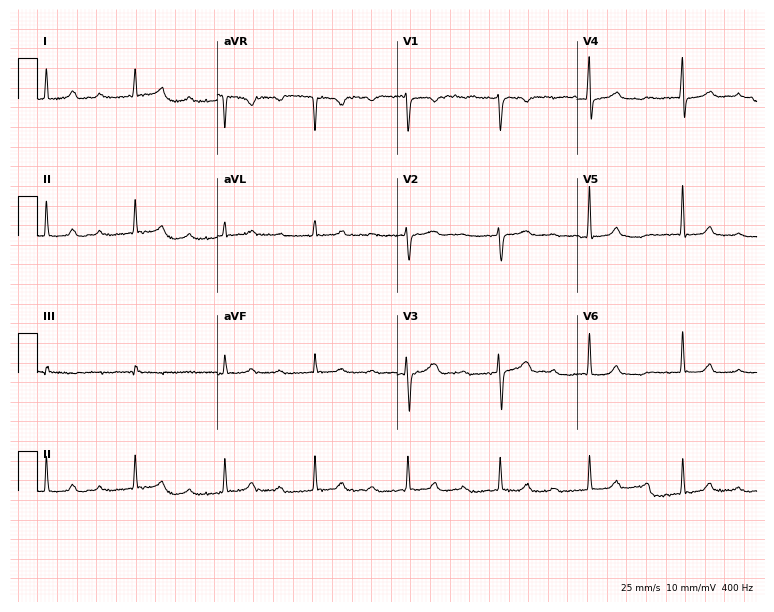
12-lead ECG from a woman, 44 years old. Shows first-degree AV block.